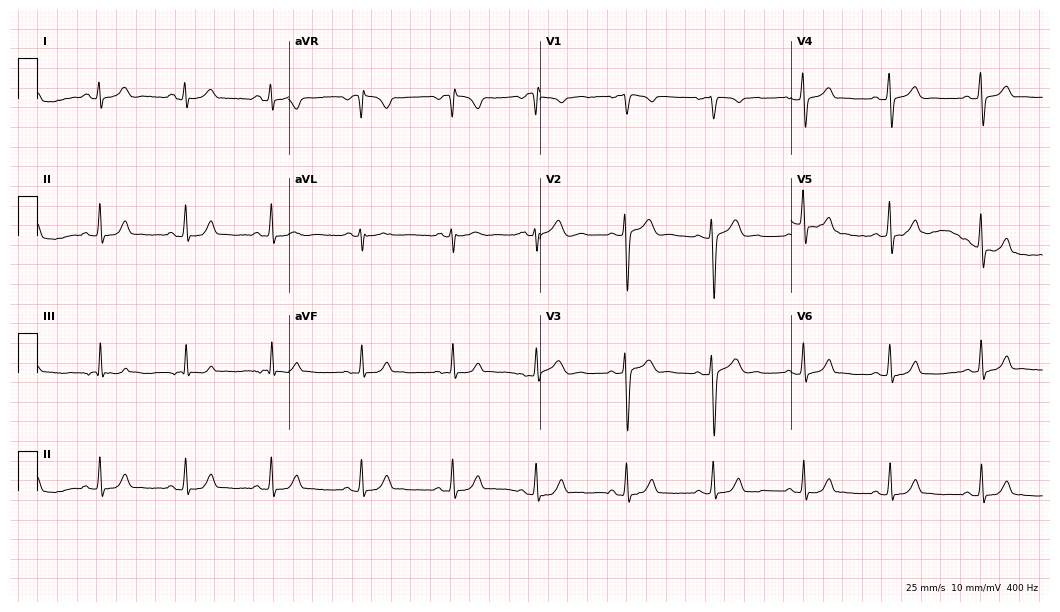
Standard 12-lead ECG recorded from a 20-year-old male (10.2-second recording at 400 Hz). Read as a normal ECG.